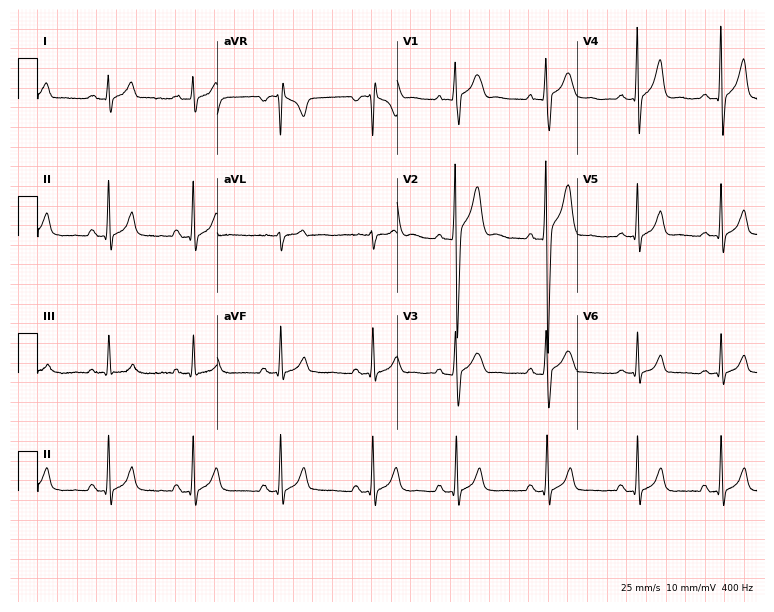
Electrocardiogram (7.3-second recording at 400 Hz), a male patient, 18 years old. Overall reading on record: normal ECG.